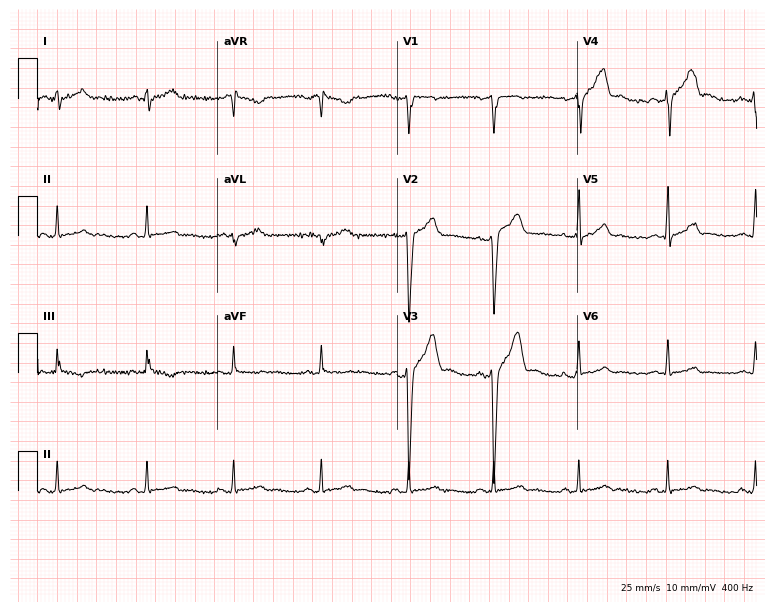
Standard 12-lead ECG recorded from a male, 25 years old. None of these six findings is recorded: first-degree AV block, right bundle branch block, left bundle branch block, sinus bradycardia, atrial fibrillation, sinus tachycardia. Only these six findings were labelled.